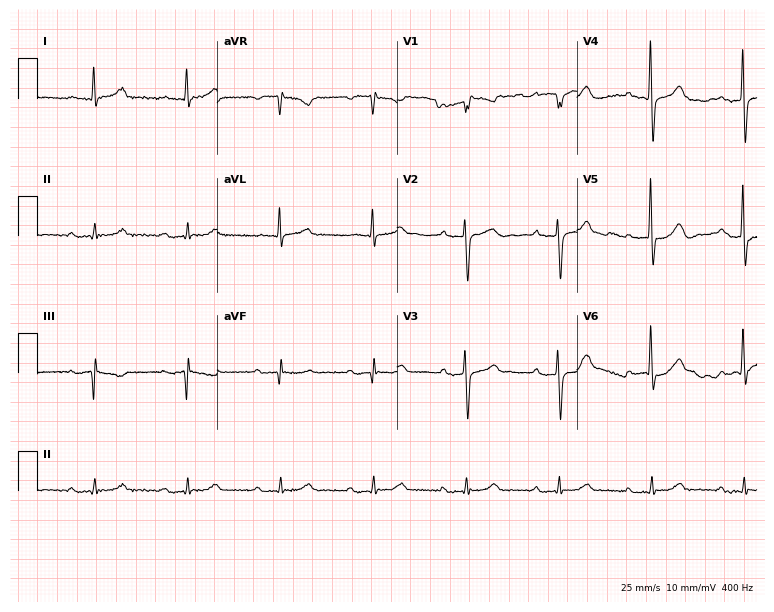
Resting 12-lead electrocardiogram. Patient: an 81-year-old male. The tracing shows first-degree AV block.